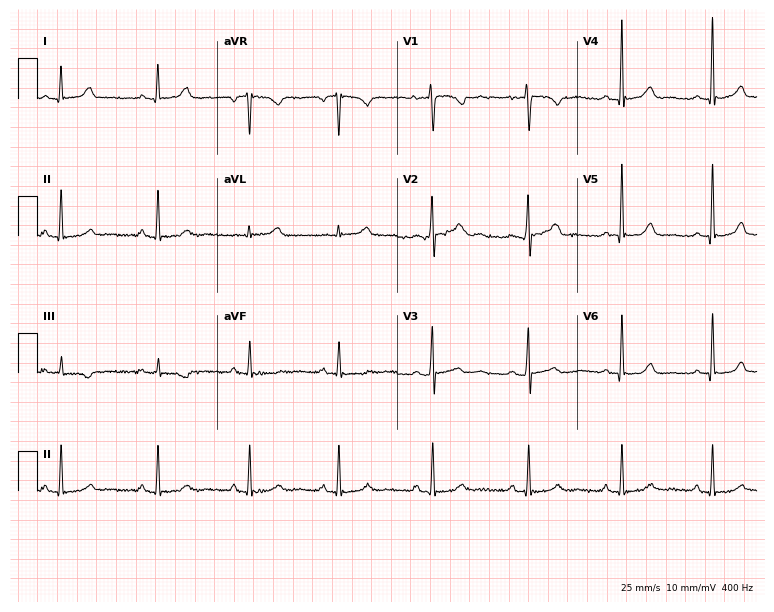
Standard 12-lead ECG recorded from a female patient, 55 years old (7.3-second recording at 400 Hz). Read as a normal ECG.